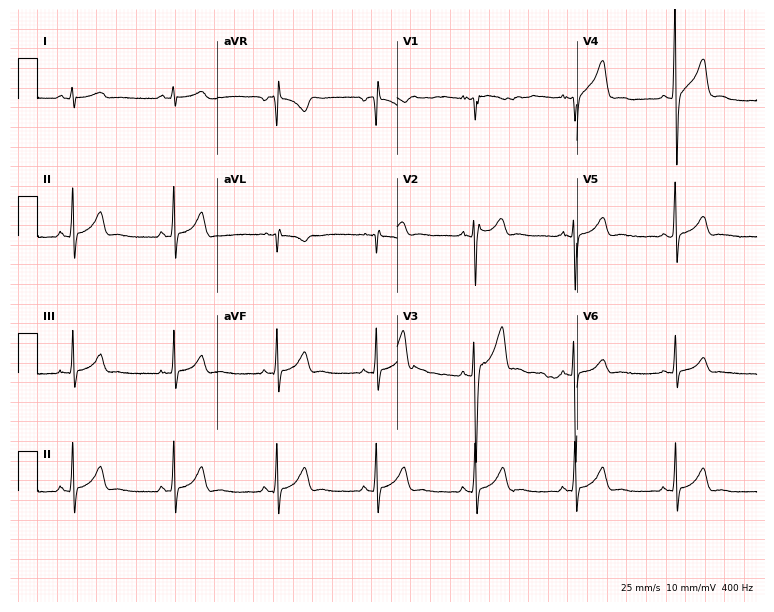
12-lead ECG (7.3-second recording at 400 Hz) from an 18-year-old man. Labelled as a normal ECG.